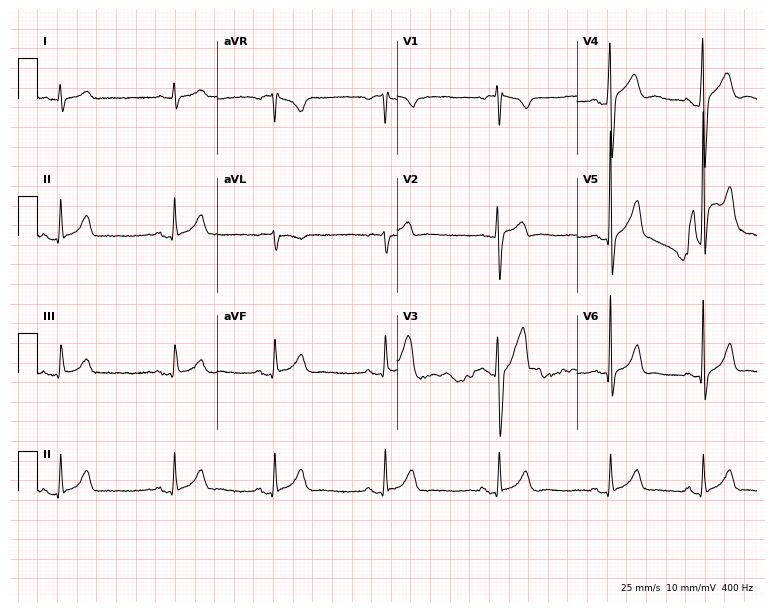
Electrocardiogram, a man, 24 years old. Overall reading on record: normal ECG.